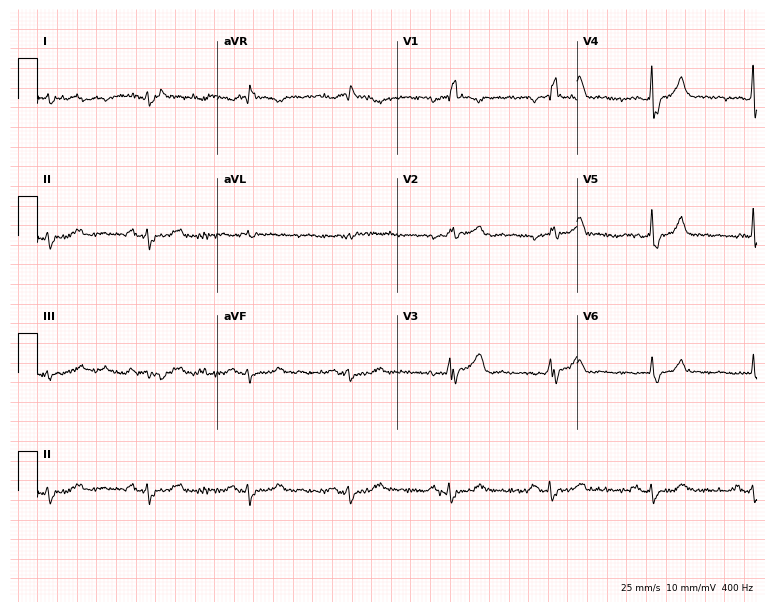
12-lead ECG from an 82-year-old man (7.3-second recording at 400 Hz). No first-degree AV block, right bundle branch block, left bundle branch block, sinus bradycardia, atrial fibrillation or sinus tachycardia recorded for this tracing. Only these six findings were labelled.